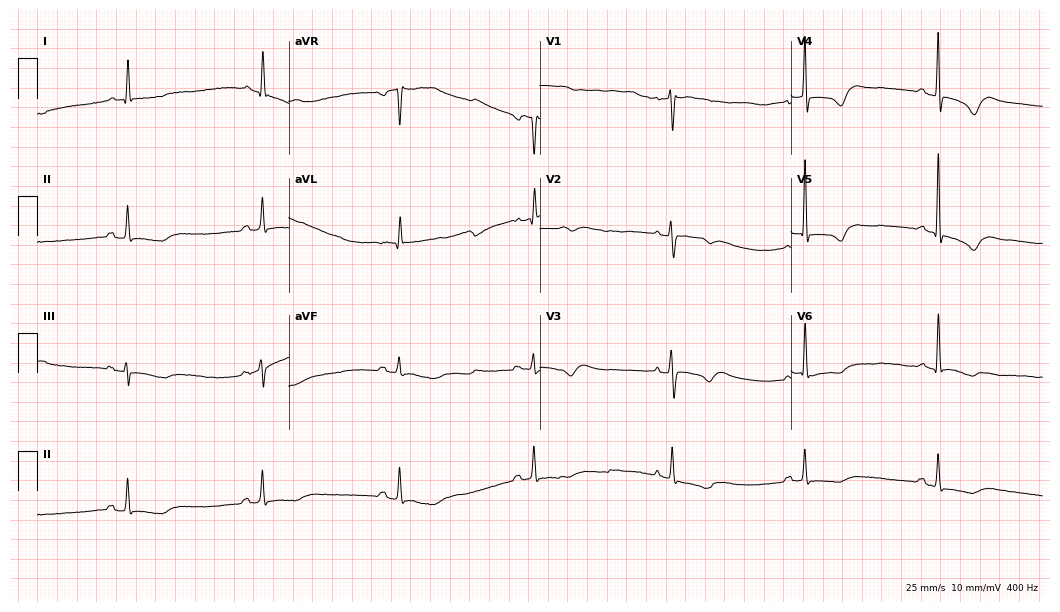
12-lead ECG from a female, 64 years old. No first-degree AV block, right bundle branch block (RBBB), left bundle branch block (LBBB), sinus bradycardia, atrial fibrillation (AF) or sinus tachycardia recorded for this tracing.